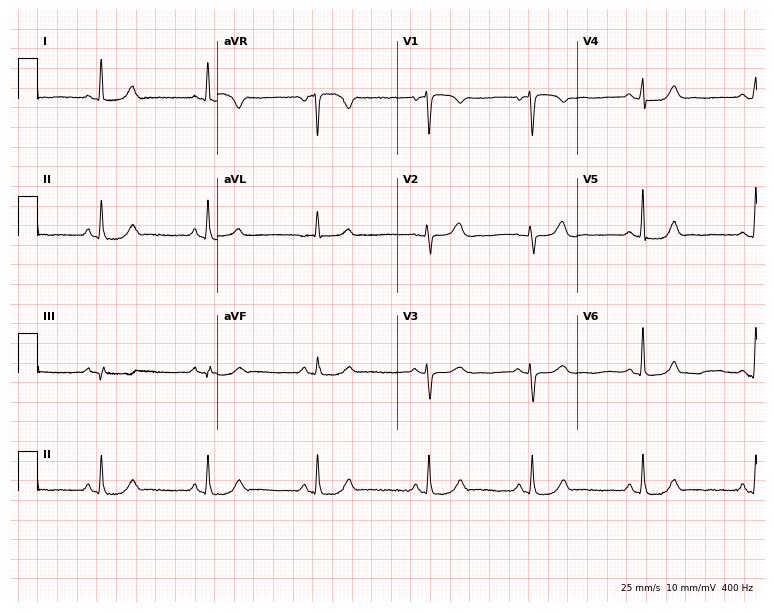
12-lead ECG from a female, 58 years old. No first-degree AV block, right bundle branch block (RBBB), left bundle branch block (LBBB), sinus bradycardia, atrial fibrillation (AF) or sinus tachycardia recorded for this tracing.